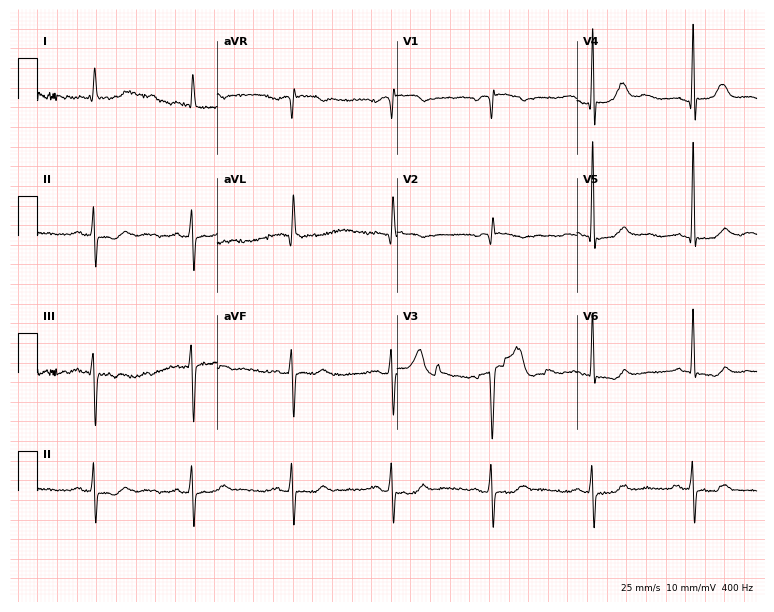
12-lead ECG (7.3-second recording at 400 Hz) from a man, 84 years old. Screened for six findings — first-degree AV block, right bundle branch block, left bundle branch block, sinus bradycardia, atrial fibrillation, sinus tachycardia — none is recorded.